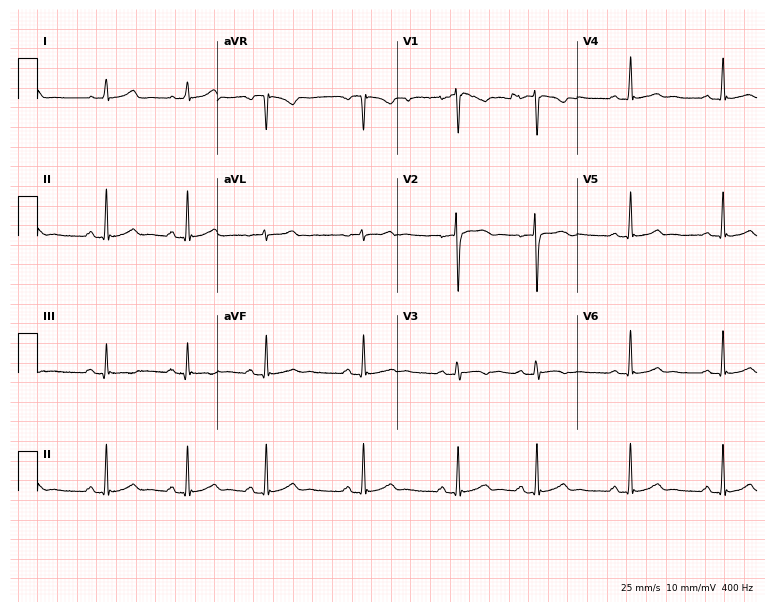
12-lead ECG from a female patient, 19 years old. Labelled as a normal ECG.